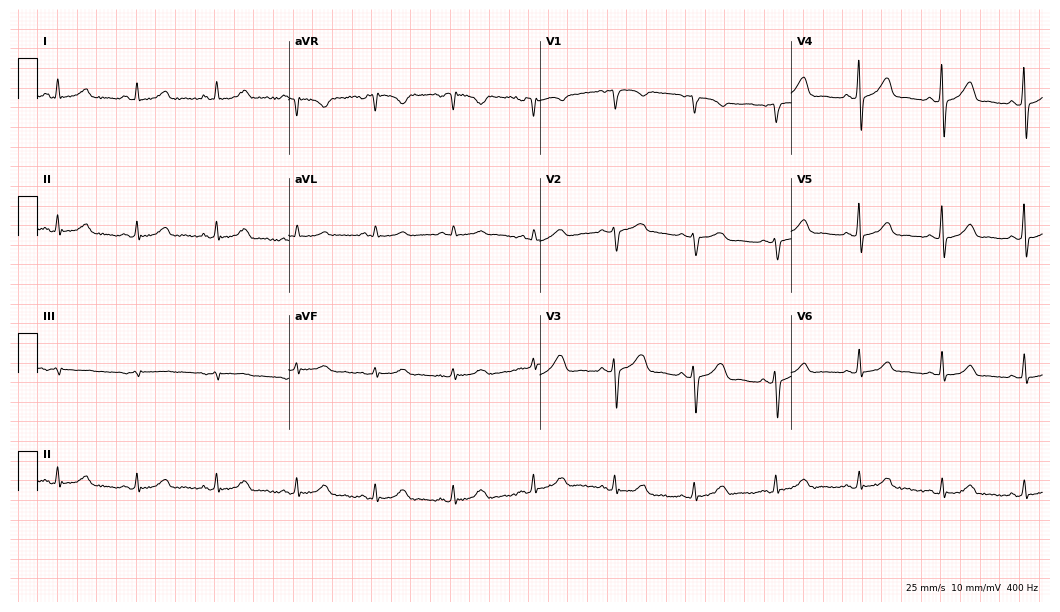
ECG — a female patient, 47 years old. Labelled as a normal ECG.